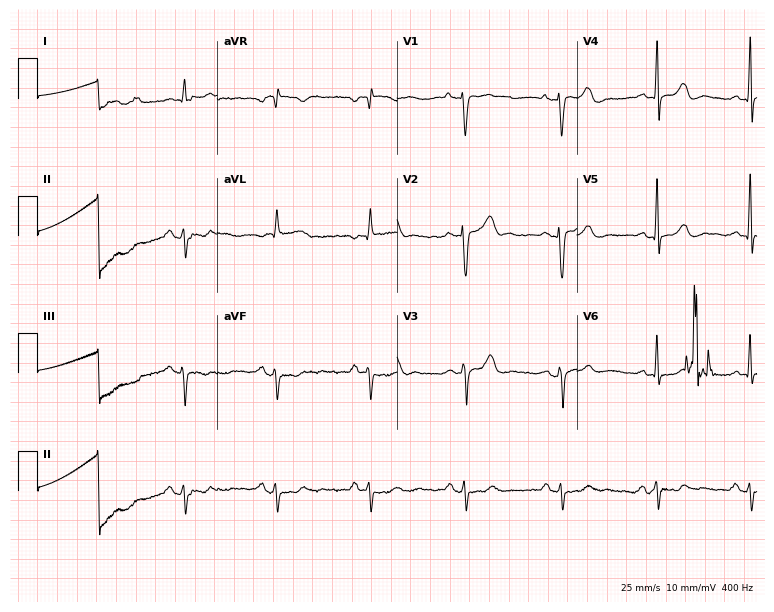
Electrocardiogram (7.3-second recording at 400 Hz), a 63-year-old woman. Of the six screened findings (first-degree AV block, right bundle branch block (RBBB), left bundle branch block (LBBB), sinus bradycardia, atrial fibrillation (AF), sinus tachycardia), none is recorded. Only these six findings were labelled.